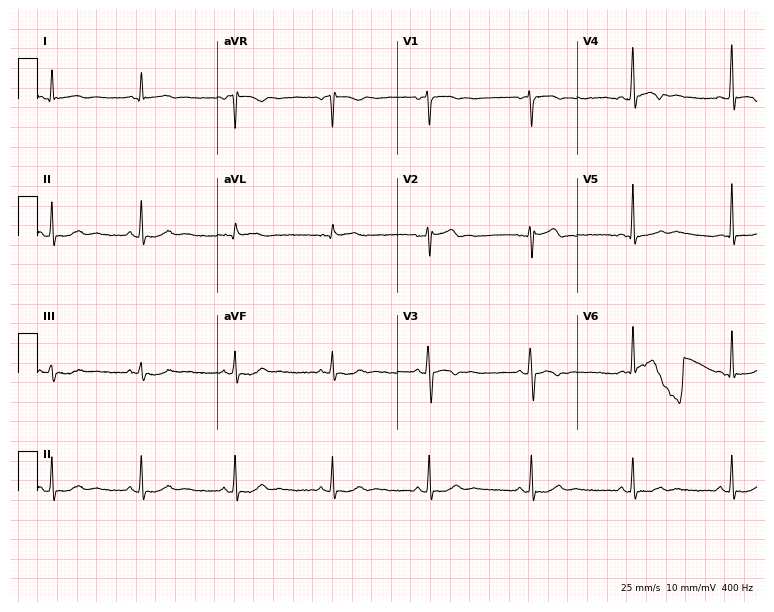
12-lead ECG (7.3-second recording at 400 Hz) from a male, 37 years old. Screened for six findings — first-degree AV block, right bundle branch block, left bundle branch block, sinus bradycardia, atrial fibrillation, sinus tachycardia — none is recorded.